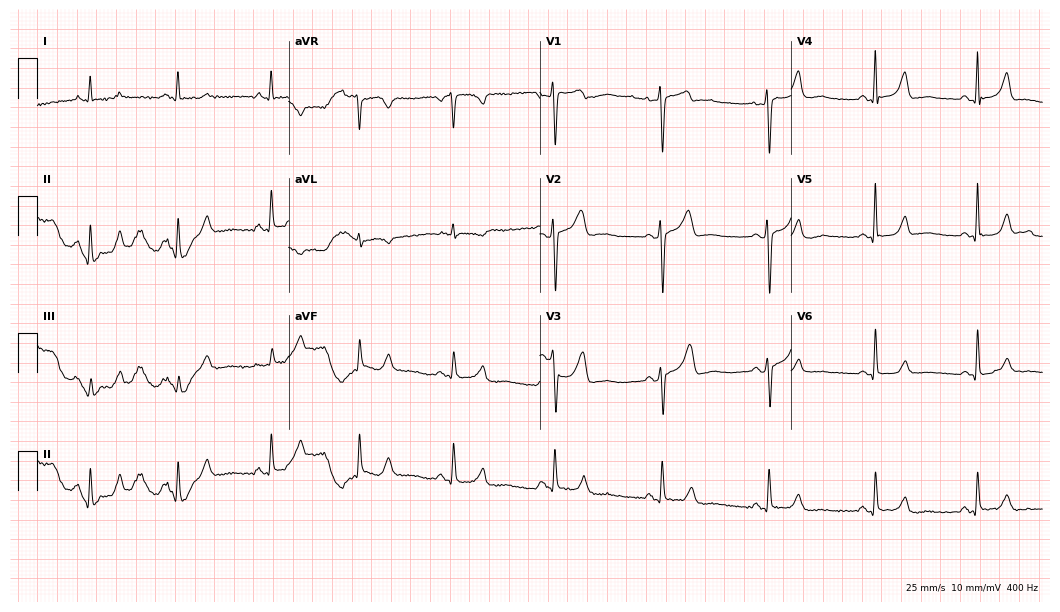
Resting 12-lead electrocardiogram. Patient: a woman, 35 years old. None of these six findings is recorded: first-degree AV block, right bundle branch block, left bundle branch block, sinus bradycardia, atrial fibrillation, sinus tachycardia.